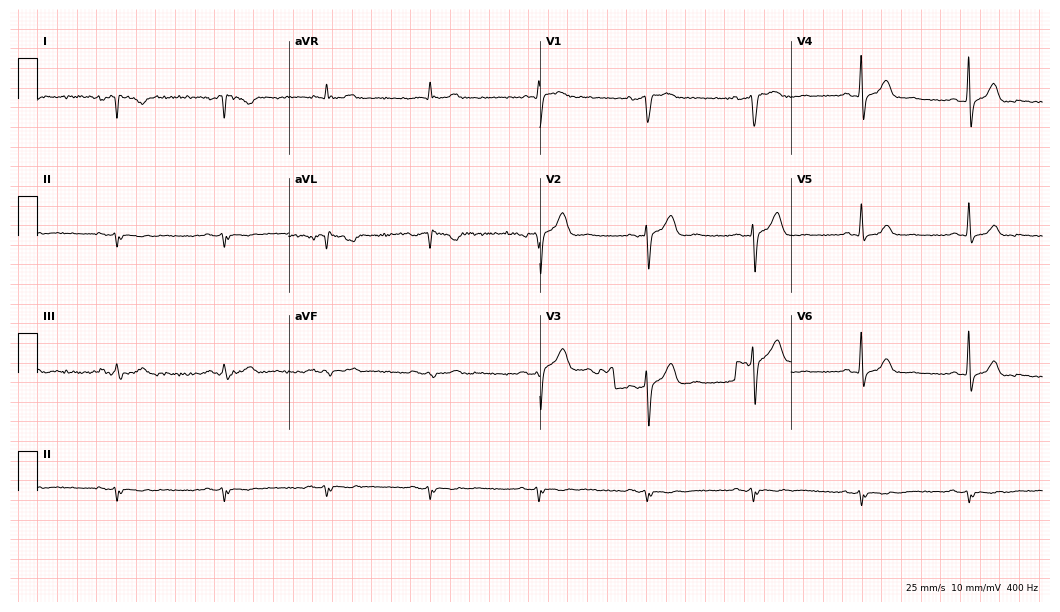
12-lead ECG (10.2-second recording at 400 Hz) from a 61-year-old man. Screened for six findings — first-degree AV block, right bundle branch block (RBBB), left bundle branch block (LBBB), sinus bradycardia, atrial fibrillation (AF), sinus tachycardia — none is recorded.